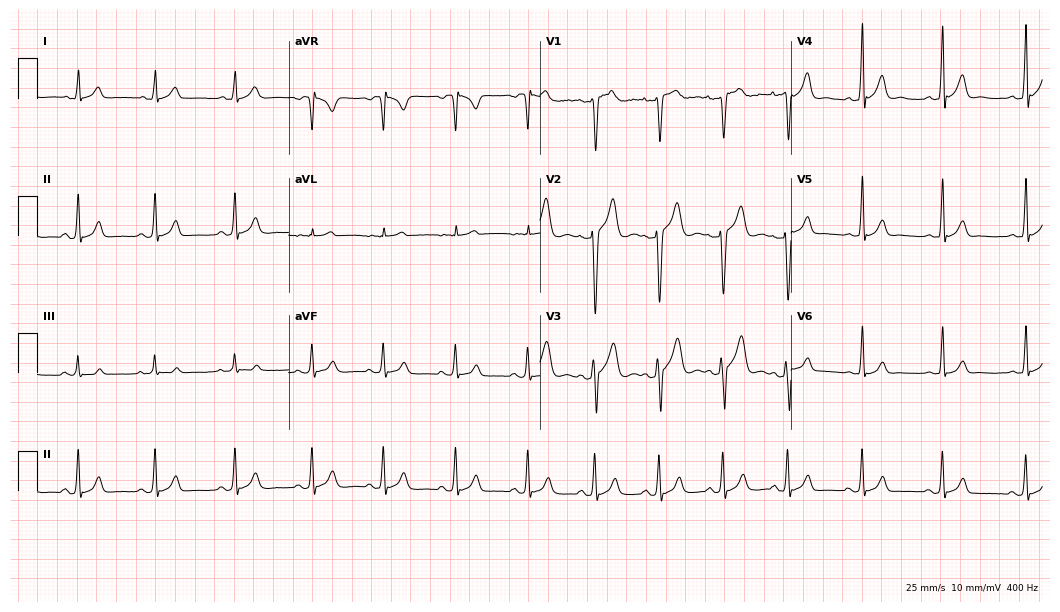
Standard 12-lead ECG recorded from a male patient, 17 years old (10.2-second recording at 400 Hz). Read as a normal ECG.